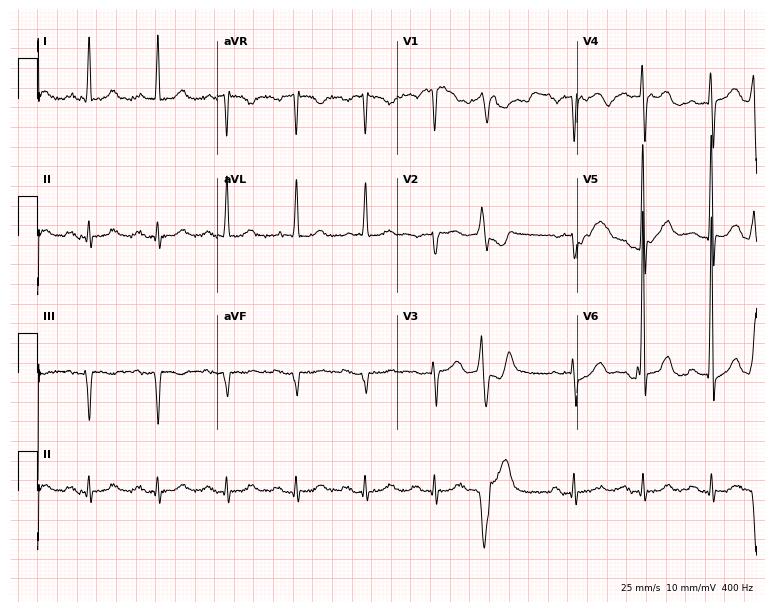
12-lead ECG from a man, 83 years old (7.3-second recording at 400 Hz). No first-degree AV block, right bundle branch block, left bundle branch block, sinus bradycardia, atrial fibrillation or sinus tachycardia recorded for this tracing.